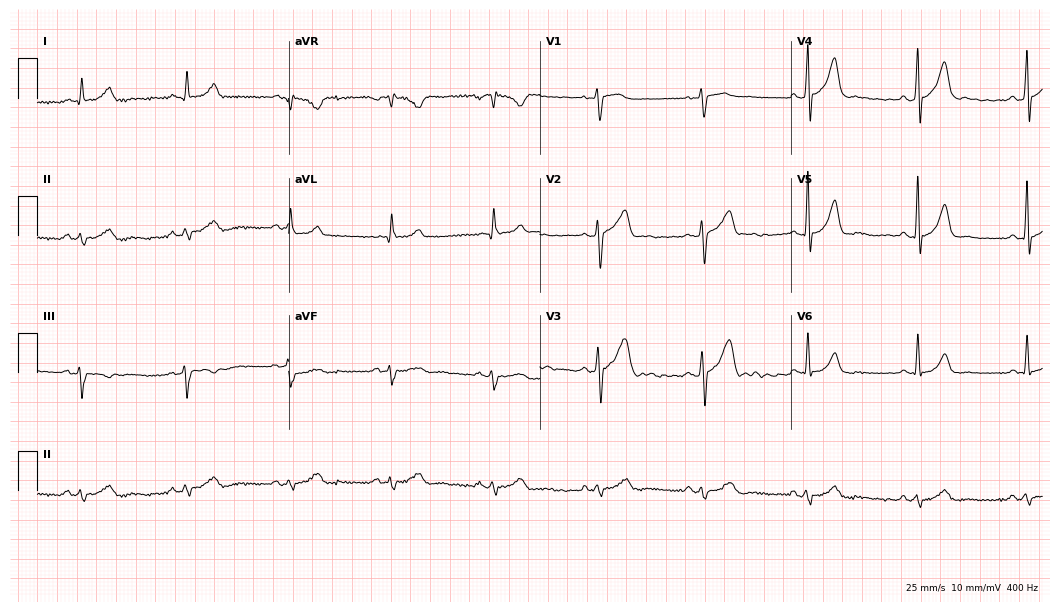
12-lead ECG from a 54-year-old male patient (10.2-second recording at 400 Hz). Recorded interpretation: within normal limits.